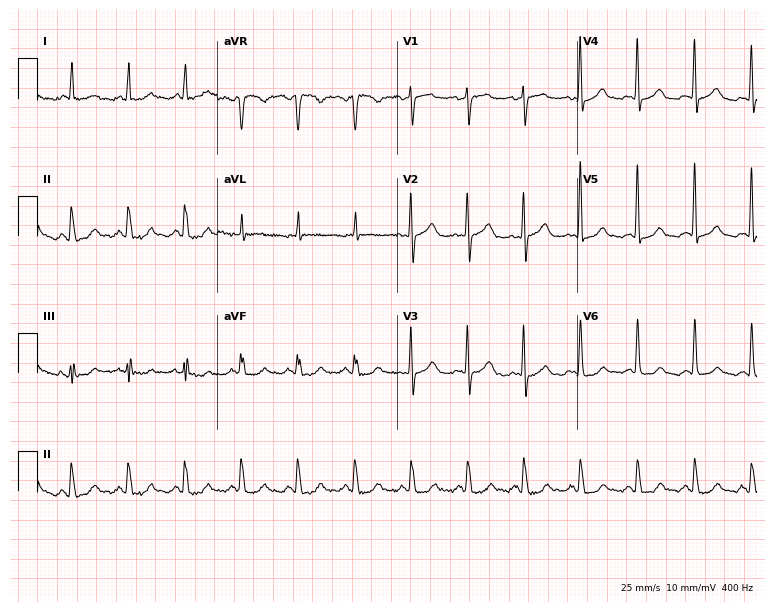
ECG — a woman, 82 years old. Findings include sinus tachycardia (a sinus rate of 100 beats per minute or more).